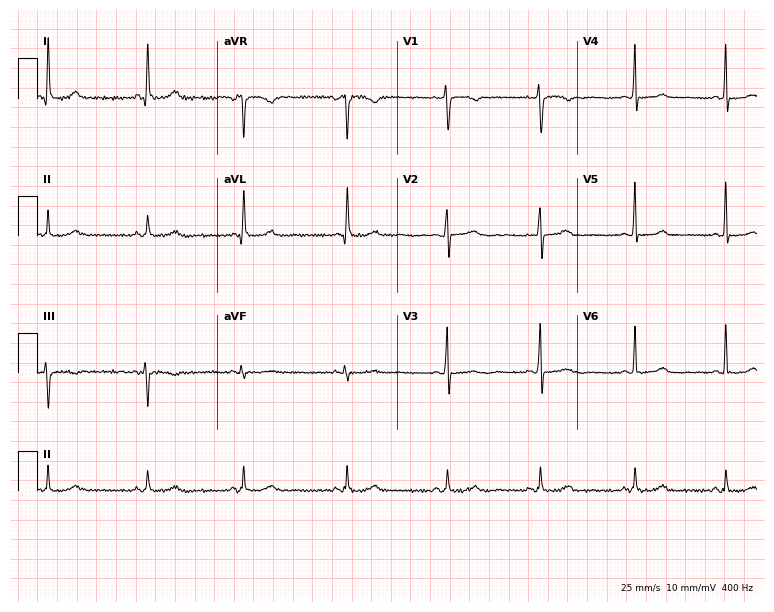
Electrocardiogram (7.3-second recording at 400 Hz), a 44-year-old female patient. Of the six screened findings (first-degree AV block, right bundle branch block (RBBB), left bundle branch block (LBBB), sinus bradycardia, atrial fibrillation (AF), sinus tachycardia), none is recorded. Other findings, if any, are not listed.